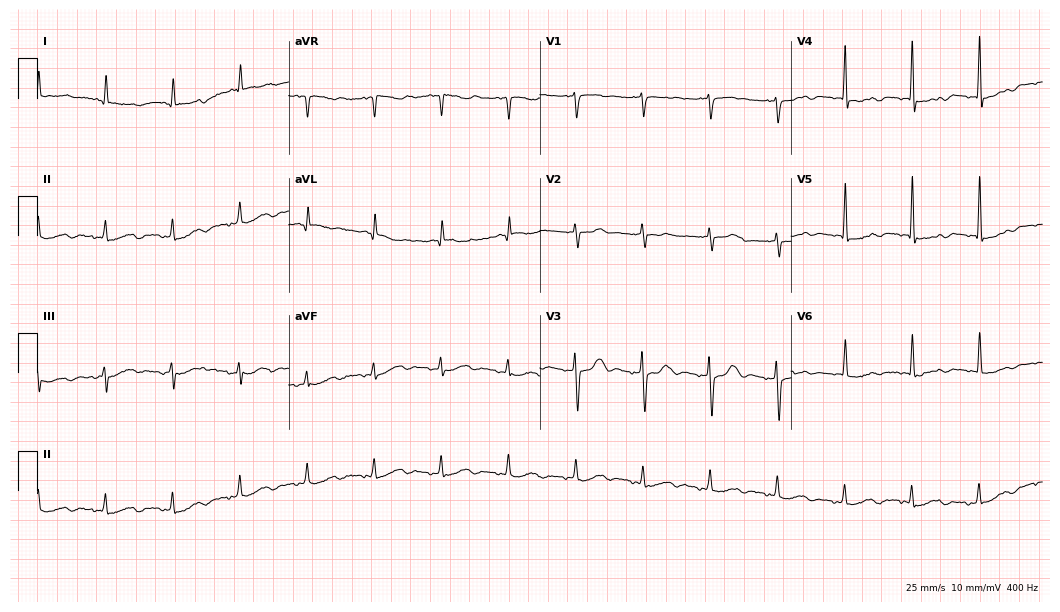
Resting 12-lead electrocardiogram. Patient: a woman, 78 years old. None of these six findings is recorded: first-degree AV block, right bundle branch block (RBBB), left bundle branch block (LBBB), sinus bradycardia, atrial fibrillation (AF), sinus tachycardia.